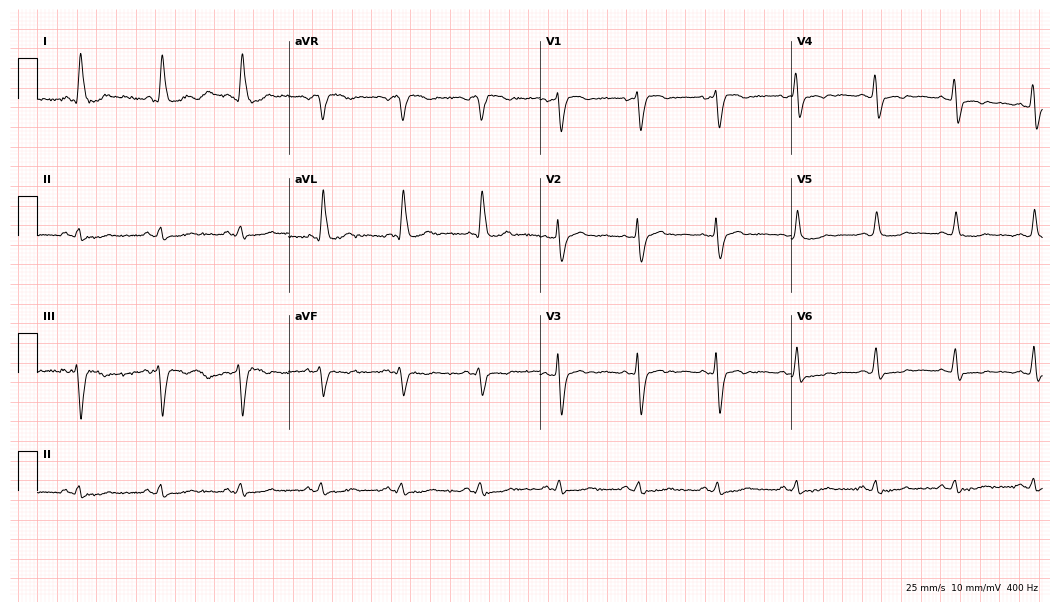
Resting 12-lead electrocardiogram. Patient: a female, 73 years old. None of these six findings is recorded: first-degree AV block, right bundle branch block, left bundle branch block, sinus bradycardia, atrial fibrillation, sinus tachycardia. Findings outside these six are not listed.